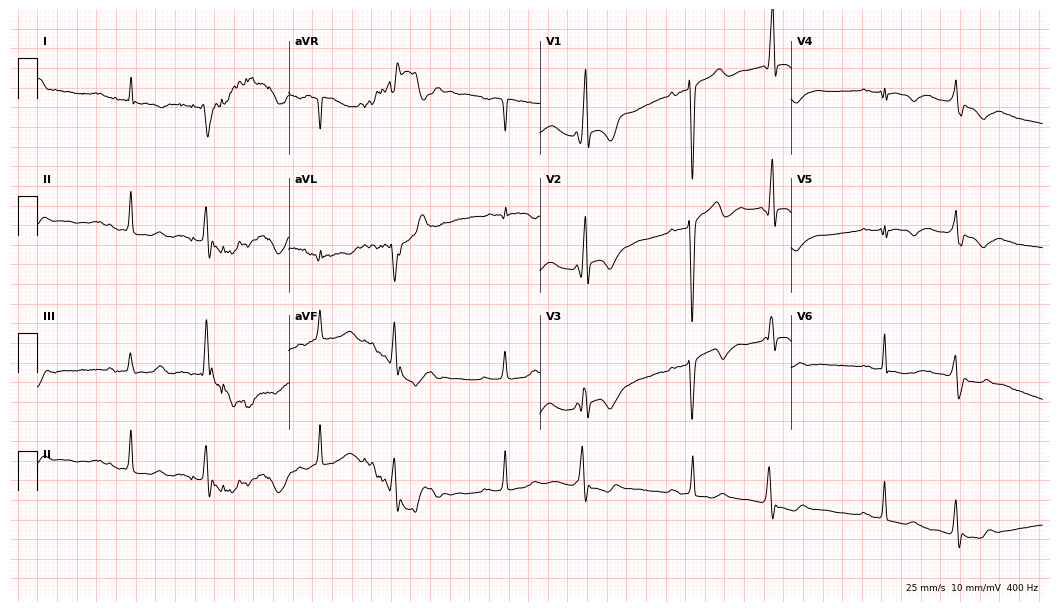
Standard 12-lead ECG recorded from a 70-year-old male patient (10.2-second recording at 400 Hz). None of these six findings is recorded: first-degree AV block, right bundle branch block (RBBB), left bundle branch block (LBBB), sinus bradycardia, atrial fibrillation (AF), sinus tachycardia.